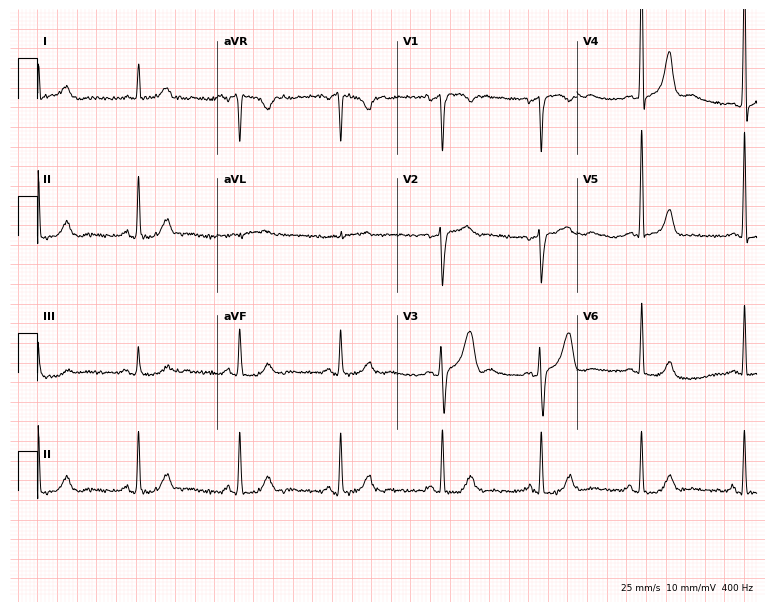
12-lead ECG from a male patient, 65 years old. Screened for six findings — first-degree AV block, right bundle branch block (RBBB), left bundle branch block (LBBB), sinus bradycardia, atrial fibrillation (AF), sinus tachycardia — none is recorded.